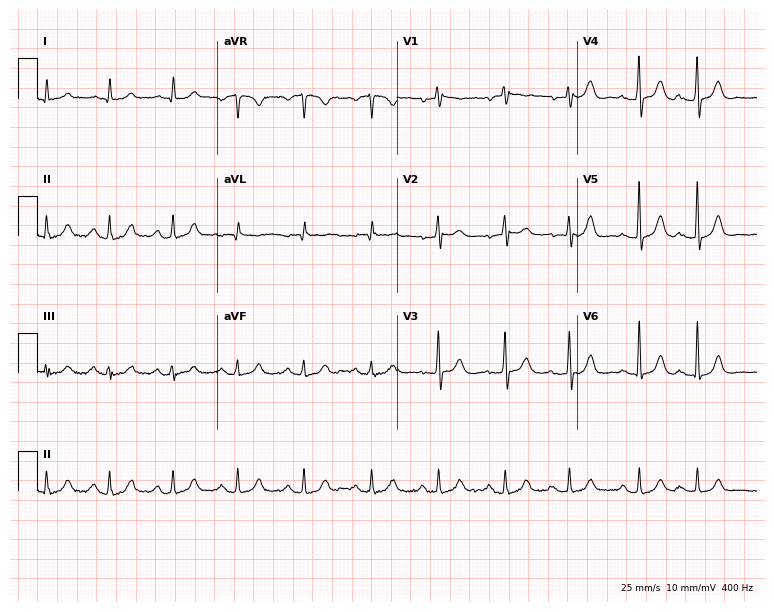
12-lead ECG from an 84-year-old man (7.3-second recording at 400 Hz). Recorded interpretation: within normal limits.